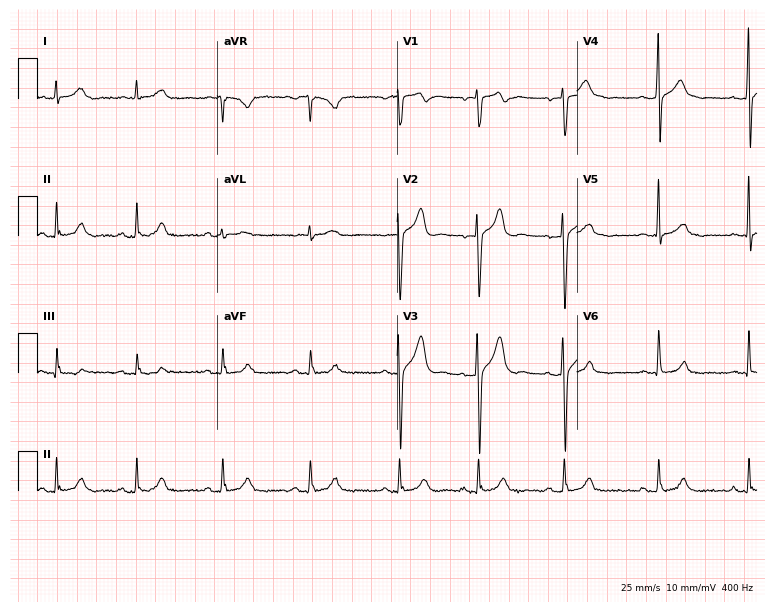
ECG — a 32-year-old male patient. Labelled as a normal ECG.